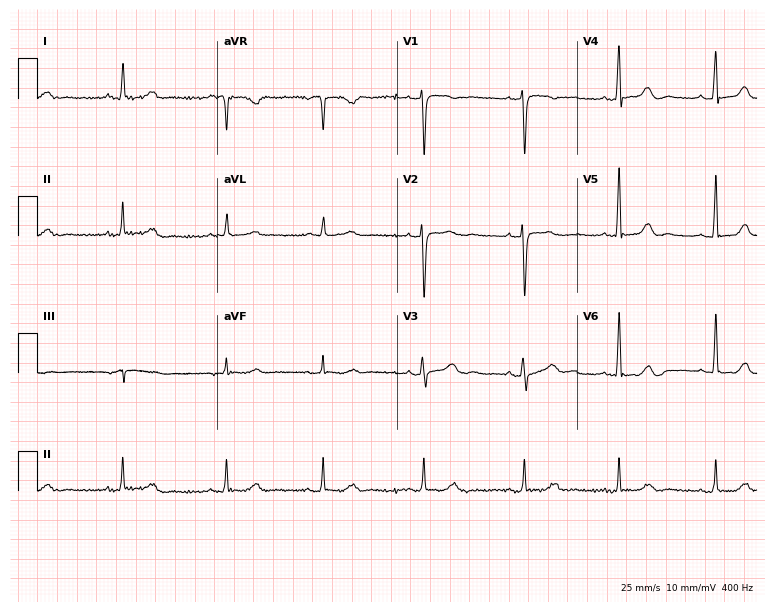
12-lead ECG from a woman, 75 years old. Labelled as a normal ECG.